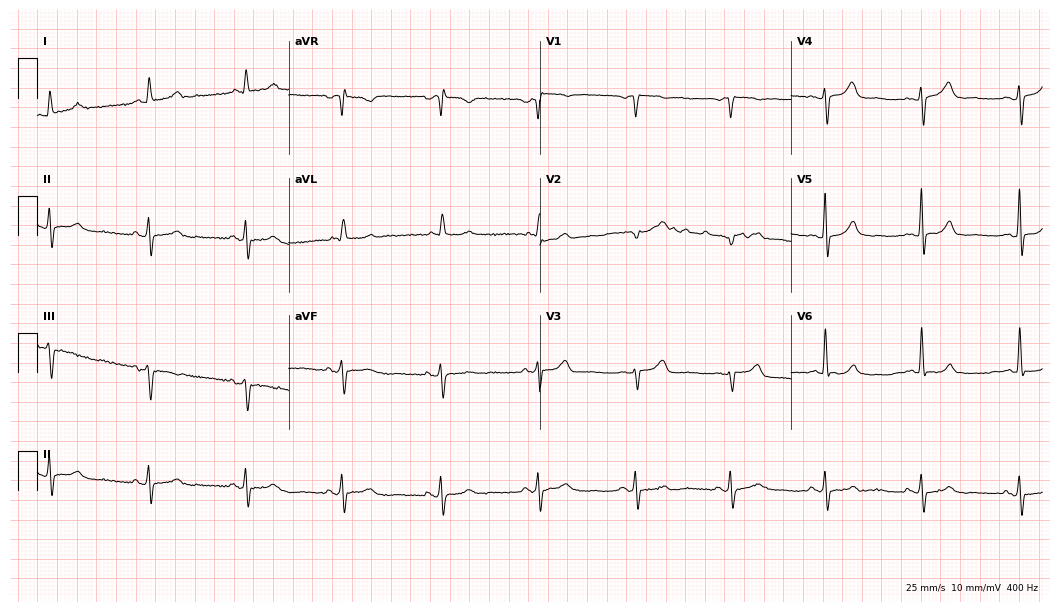
ECG — a male, 82 years old. Screened for six findings — first-degree AV block, right bundle branch block, left bundle branch block, sinus bradycardia, atrial fibrillation, sinus tachycardia — none is recorded.